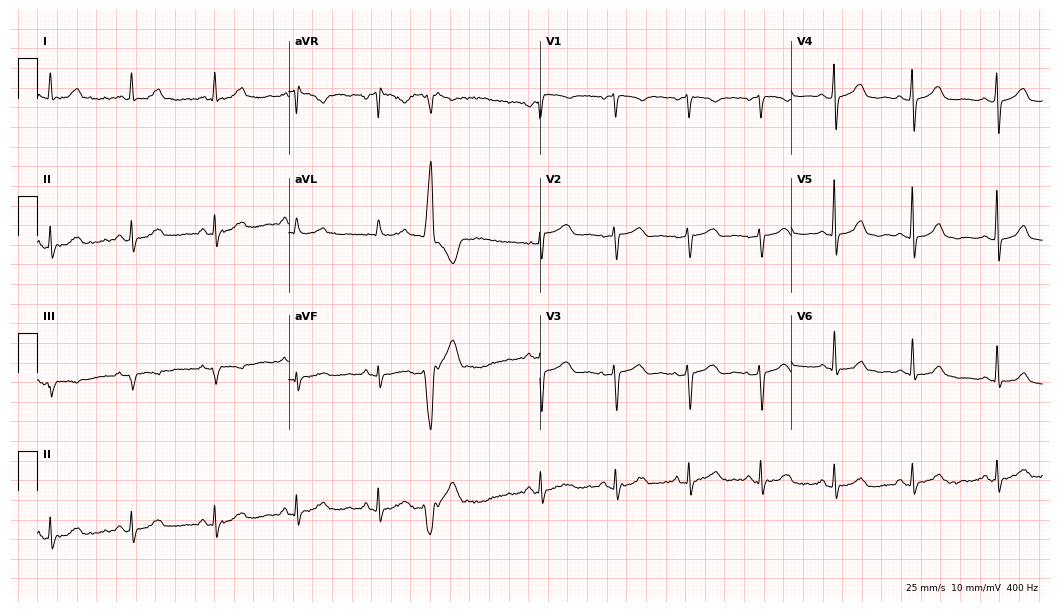
ECG — a female, 61 years old. Screened for six findings — first-degree AV block, right bundle branch block (RBBB), left bundle branch block (LBBB), sinus bradycardia, atrial fibrillation (AF), sinus tachycardia — none is recorded.